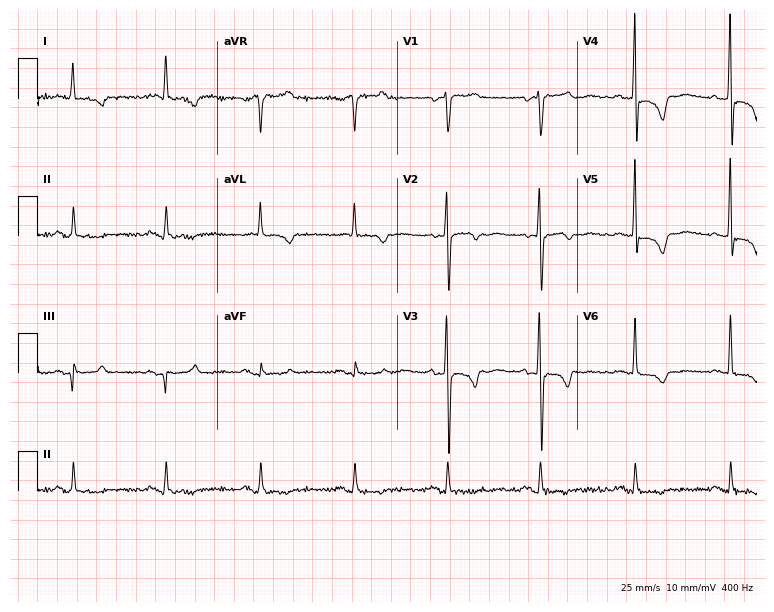
12-lead ECG (7.3-second recording at 400 Hz) from a 56-year-old woman. Screened for six findings — first-degree AV block, right bundle branch block, left bundle branch block, sinus bradycardia, atrial fibrillation, sinus tachycardia — none is recorded. Findings outside these six are not listed.